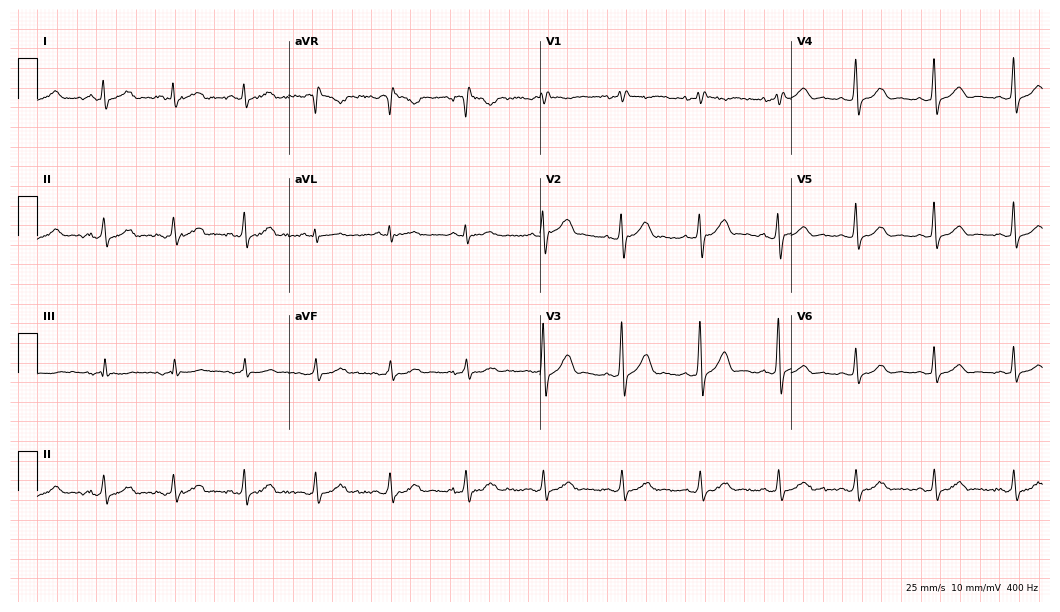
12-lead ECG (10.2-second recording at 400 Hz) from a 53-year-old male patient. Screened for six findings — first-degree AV block, right bundle branch block, left bundle branch block, sinus bradycardia, atrial fibrillation, sinus tachycardia — none is recorded. Only these six findings were labelled.